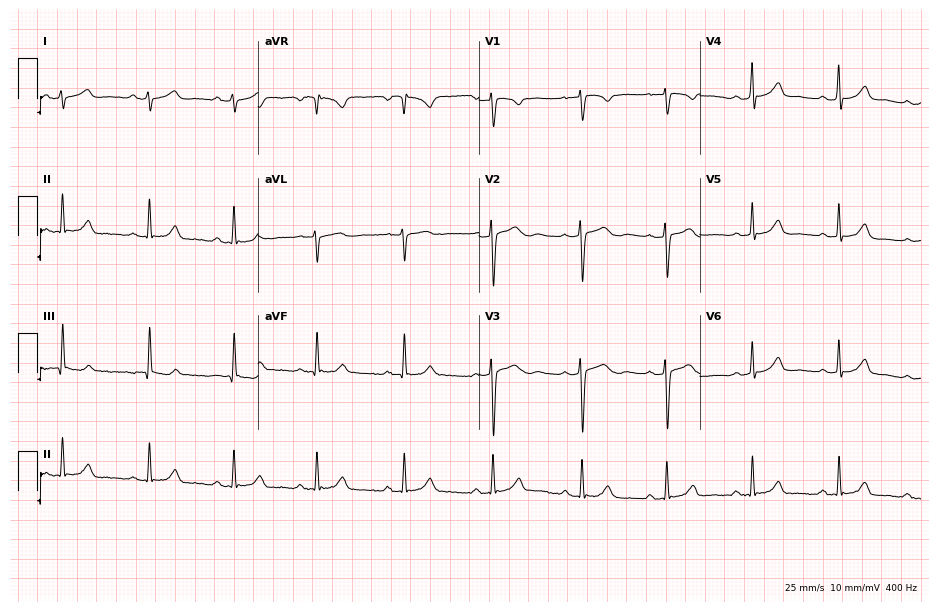
12-lead ECG (9-second recording at 400 Hz) from a female patient, 19 years old. Screened for six findings — first-degree AV block, right bundle branch block, left bundle branch block, sinus bradycardia, atrial fibrillation, sinus tachycardia — none is recorded.